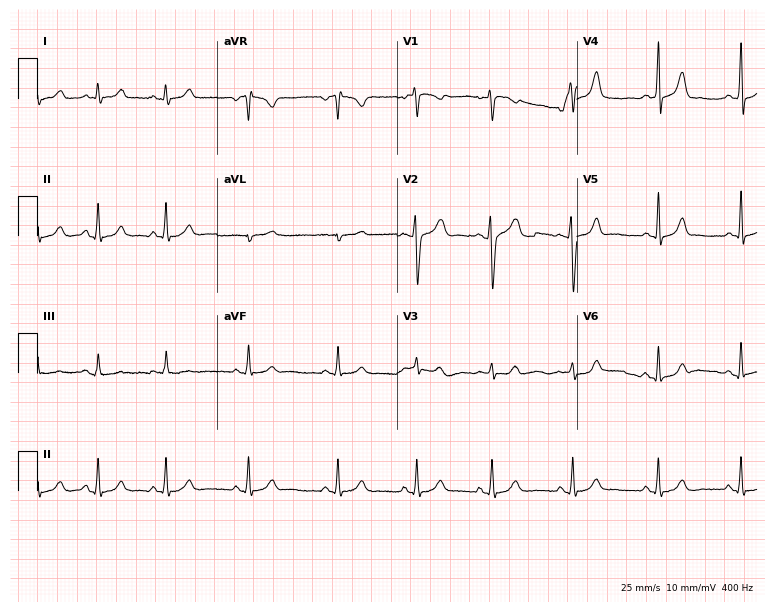
Standard 12-lead ECG recorded from a 19-year-old female (7.3-second recording at 400 Hz). None of these six findings is recorded: first-degree AV block, right bundle branch block (RBBB), left bundle branch block (LBBB), sinus bradycardia, atrial fibrillation (AF), sinus tachycardia. Other findings, if any, are not listed.